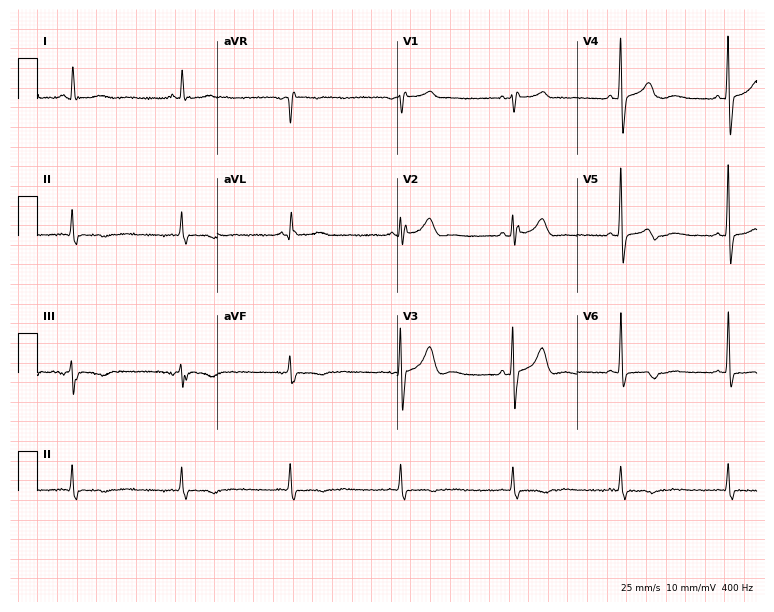
ECG — a 69-year-old man. Screened for six findings — first-degree AV block, right bundle branch block, left bundle branch block, sinus bradycardia, atrial fibrillation, sinus tachycardia — none is recorded. Only these six findings were labelled.